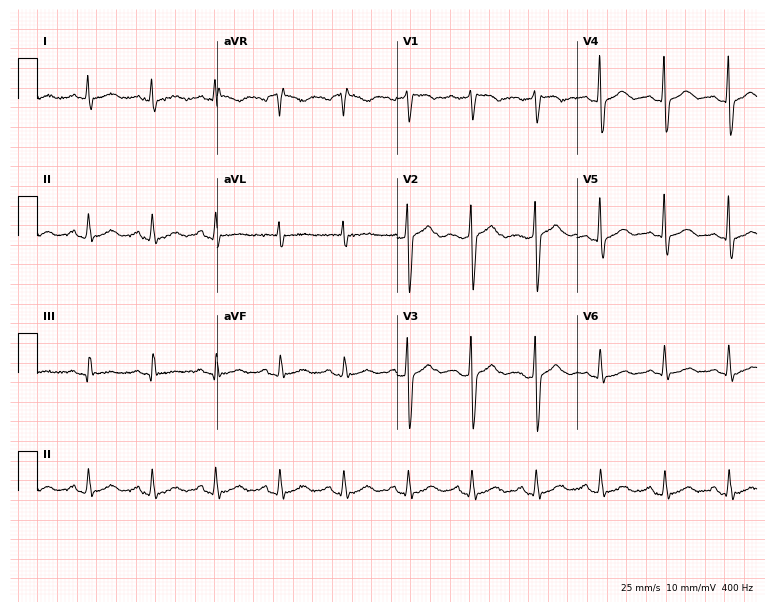
Resting 12-lead electrocardiogram (7.3-second recording at 400 Hz). Patient: a 52-year-old female. None of these six findings is recorded: first-degree AV block, right bundle branch block, left bundle branch block, sinus bradycardia, atrial fibrillation, sinus tachycardia.